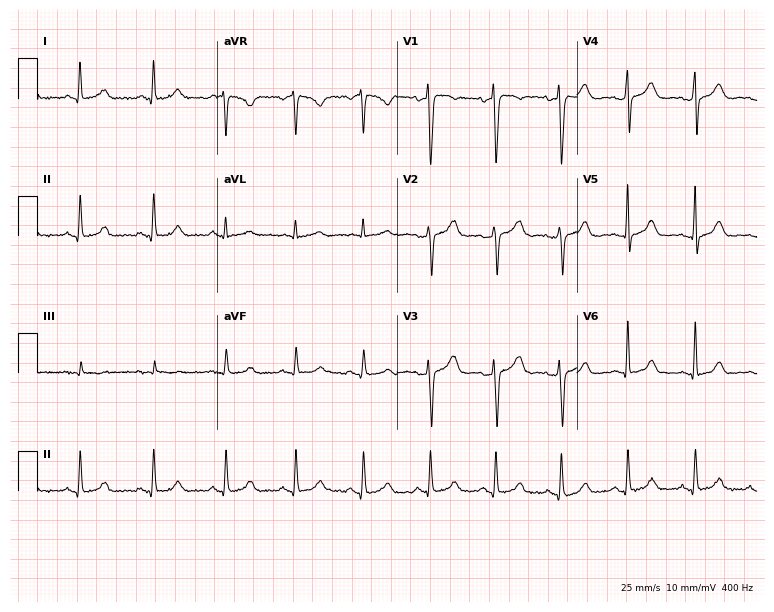
Resting 12-lead electrocardiogram. Patient: a 40-year-old female. Read as a normal ECG.